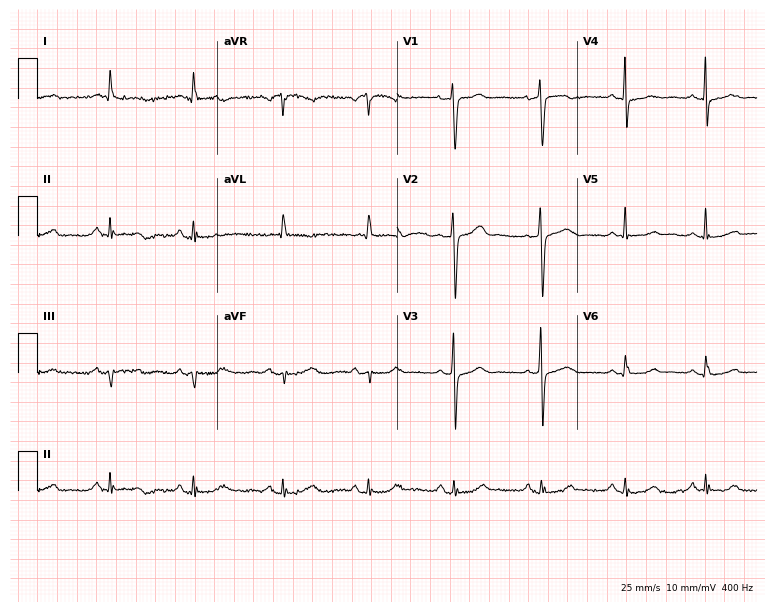
Standard 12-lead ECG recorded from a female patient, 79 years old. Read as a normal ECG.